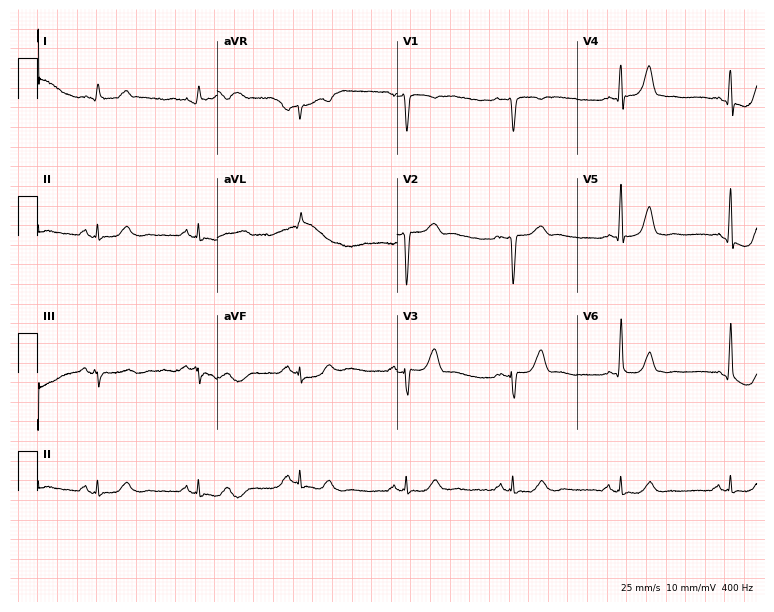
12-lead ECG from a male patient, 65 years old (7.3-second recording at 400 Hz). Recorded interpretation: within normal limits.